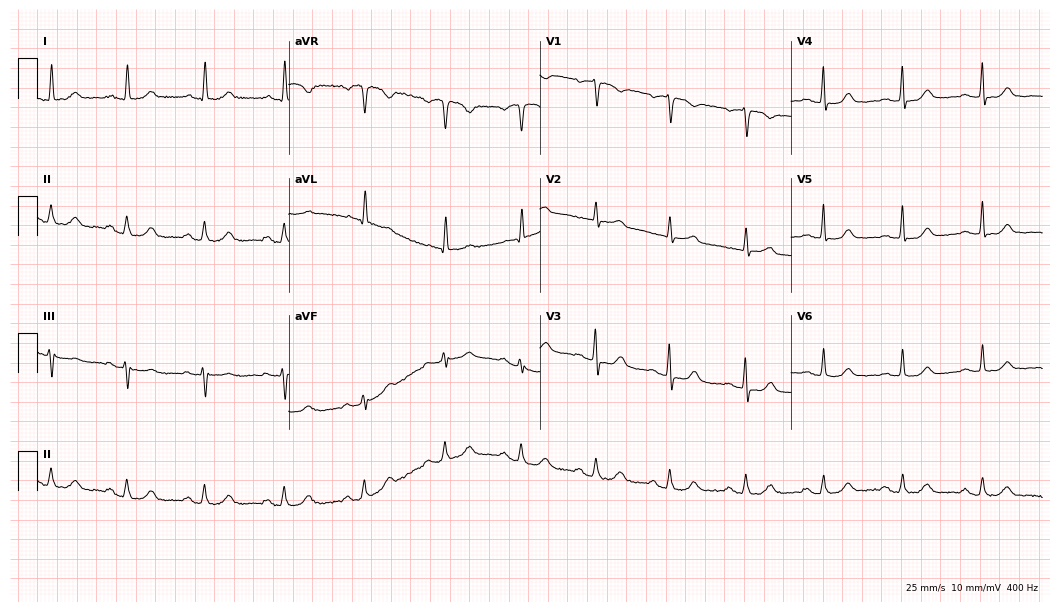
ECG (10.2-second recording at 400 Hz) — a 65-year-old female. Labelled as a normal ECG.